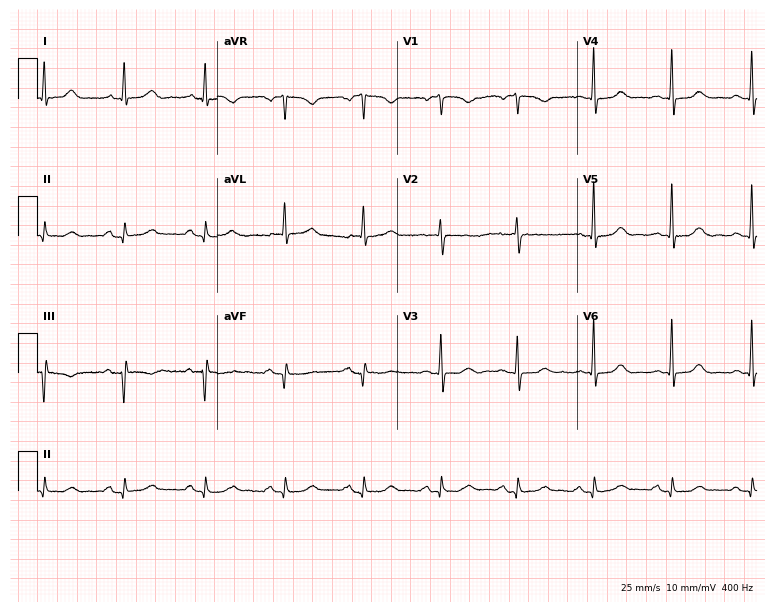
Electrocardiogram (7.3-second recording at 400 Hz), a female patient, 84 years old. Overall reading on record: normal ECG.